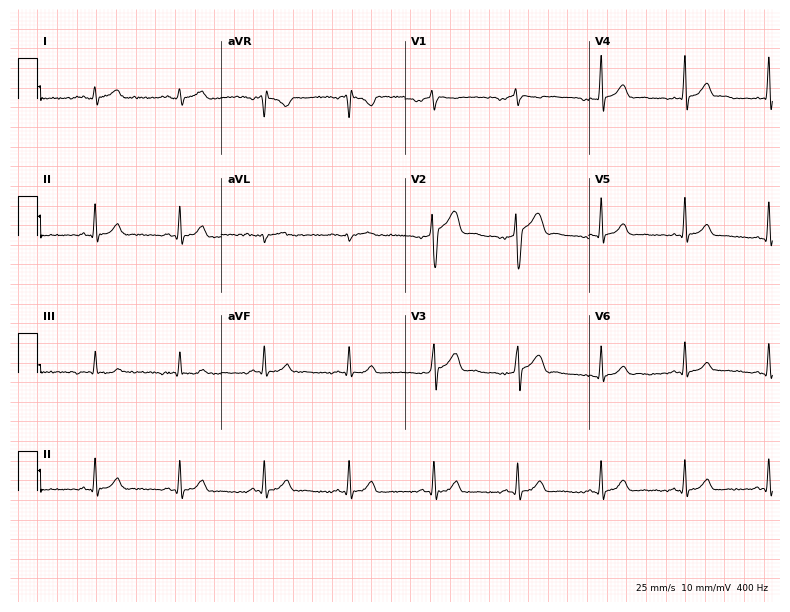
Electrocardiogram, a 25-year-old male. Overall reading on record: normal ECG.